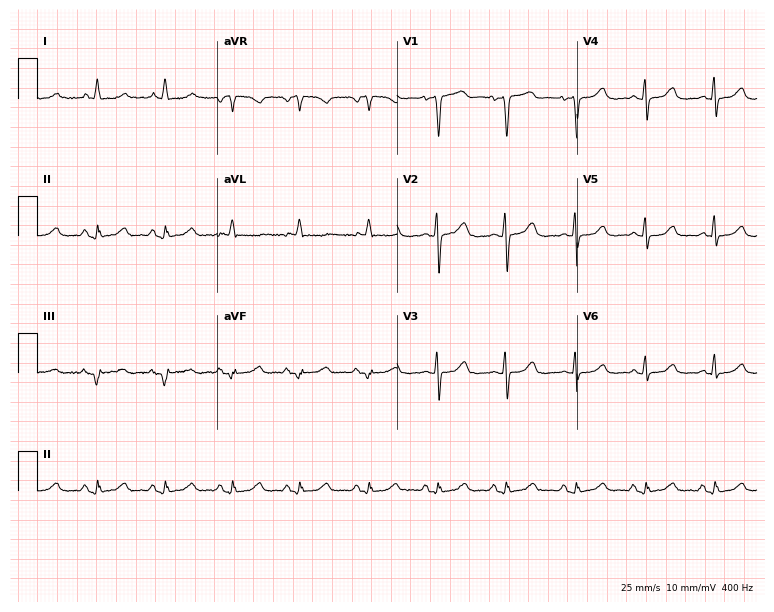
Electrocardiogram (7.3-second recording at 400 Hz), a 79-year-old female patient. Overall reading on record: normal ECG.